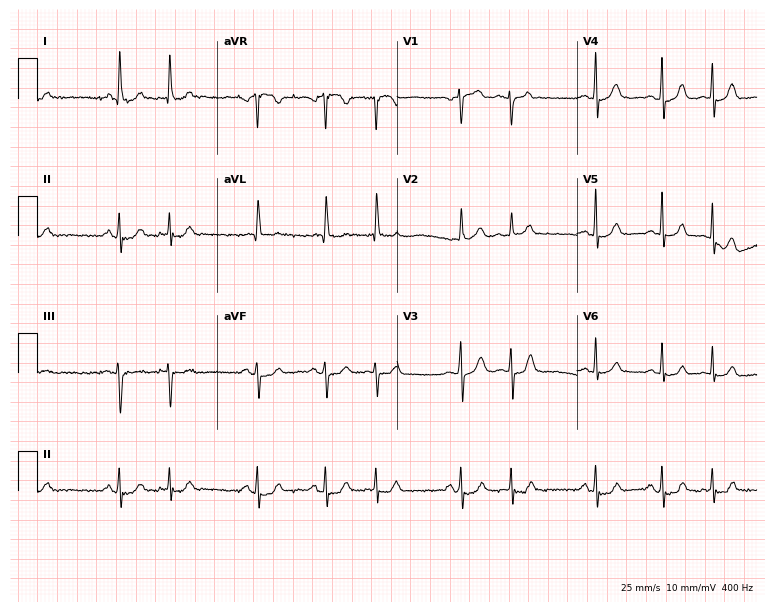
12-lead ECG from a female patient, 60 years old. No first-degree AV block, right bundle branch block, left bundle branch block, sinus bradycardia, atrial fibrillation or sinus tachycardia recorded for this tracing.